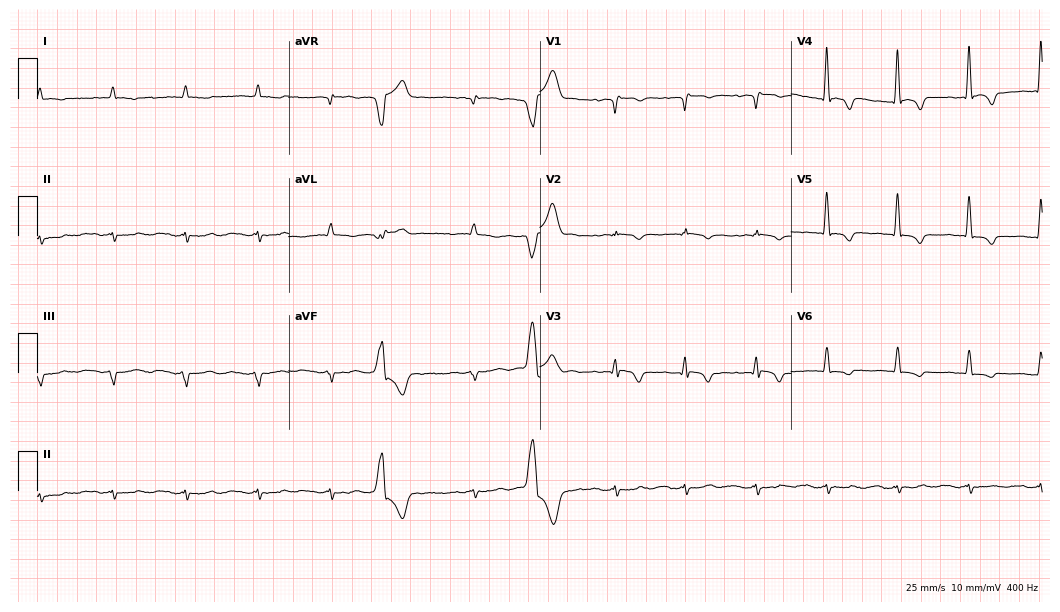
12-lead ECG from a female patient, 81 years old (10.2-second recording at 400 Hz). No first-degree AV block, right bundle branch block (RBBB), left bundle branch block (LBBB), sinus bradycardia, atrial fibrillation (AF) or sinus tachycardia recorded for this tracing. Only these six findings were labelled.